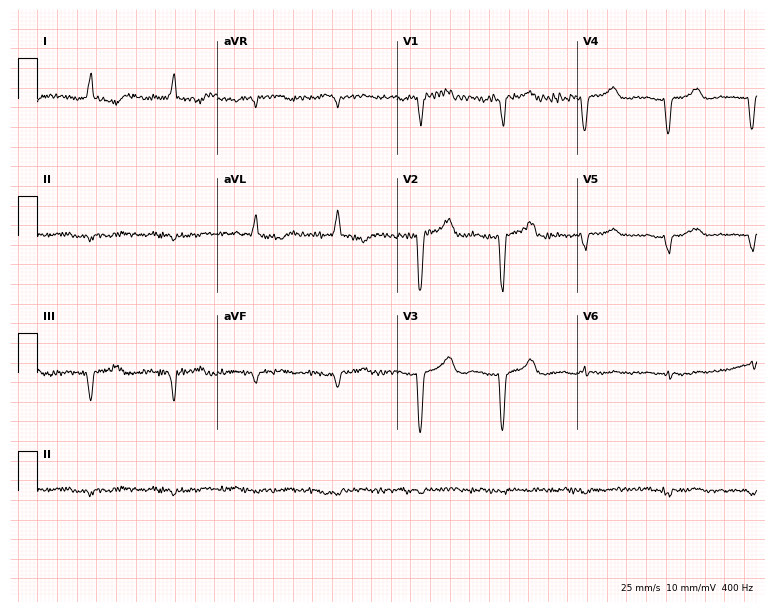
Standard 12-lead ECG recorded from a 71-year-old woman. None of these six findings is recorded: first-degree AV block, right bundle branch block (RBBB), left bundle branch block (LBBB), sinus bradycardia, atrial fibrillation (AF), sinus tachycardia.